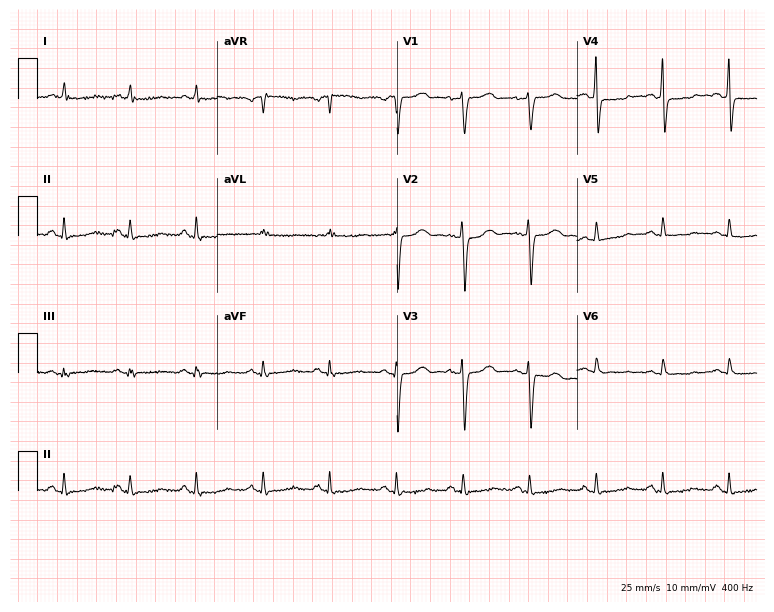
Electrocardiogram (7.3-second recording at 400 Hz), a woman, 65 years old. Of the six screened findings (first-degree AV block, right bundle branch block, left bundle branch block, sinus bradycardia, atrial fibrillation, sinus tachycardia), none is recorded.